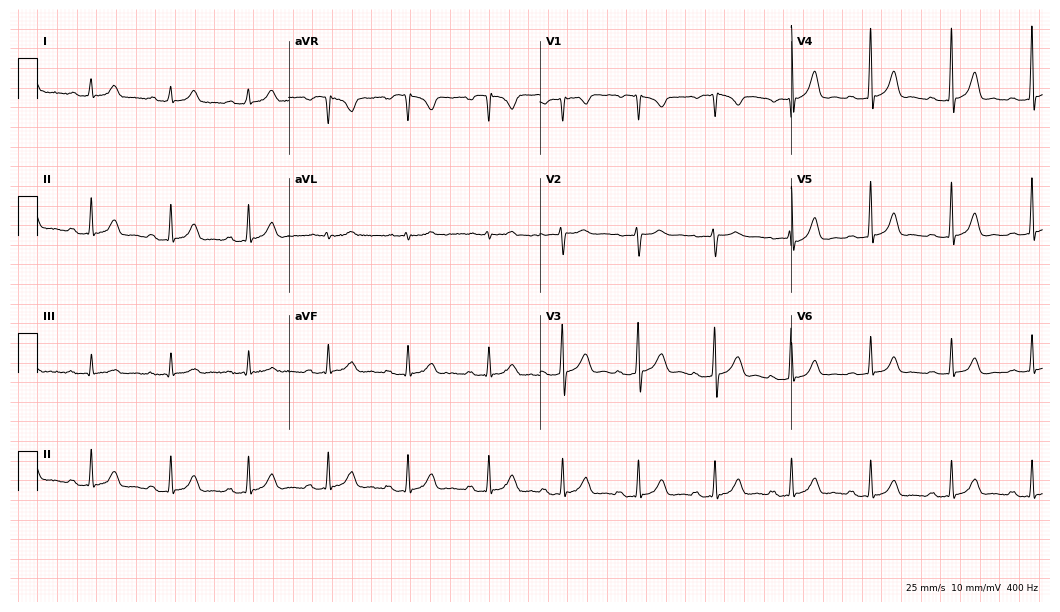
Electrocardiogram, a 34-year-old female. Of the six screened findings (first-degree AV block, right bundle branch block (RBBB), left bundle branch block (LBBB), sinus bradycardia, atrial fibrillation (AF), sinus tachycardia), none is recorded. Findings outside these six are not listed.